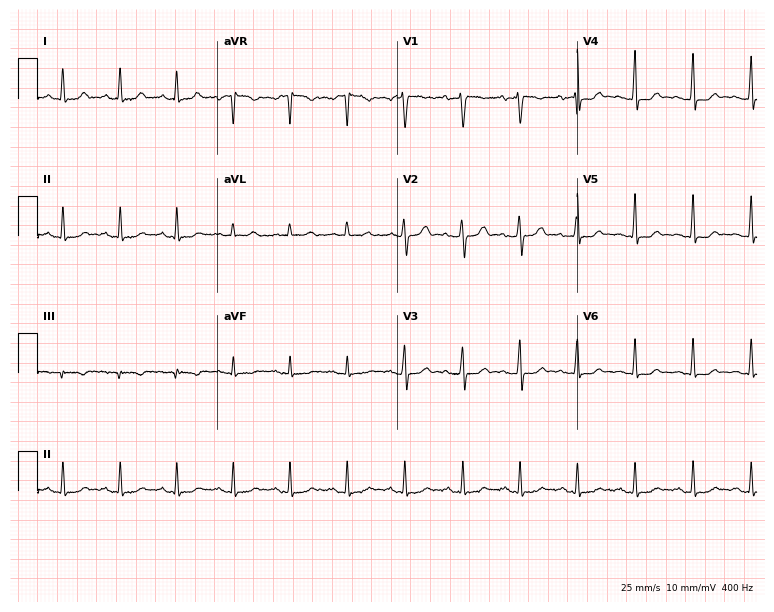
Standard 12-lead ECG recorded from a 32-year-old female. The tracing shows sinus tachycardia (a sinus rate of 100 beats per minute or more).